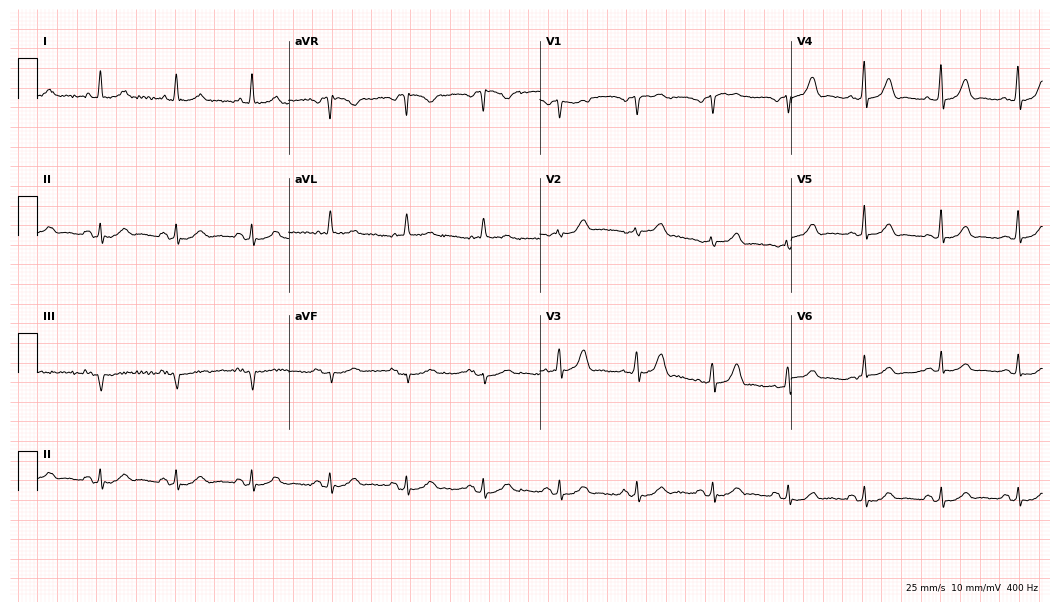
ECG — a 63-year-old female patient. Labelled as a normal ECG.